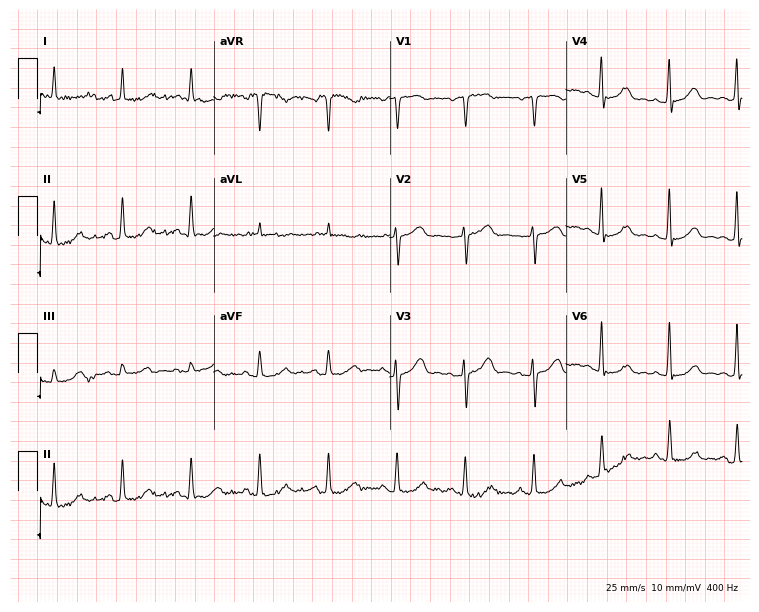
Resting 12-lead electrocardiogram. Patient: a 73-year-old woman. Read as a normal ECG.